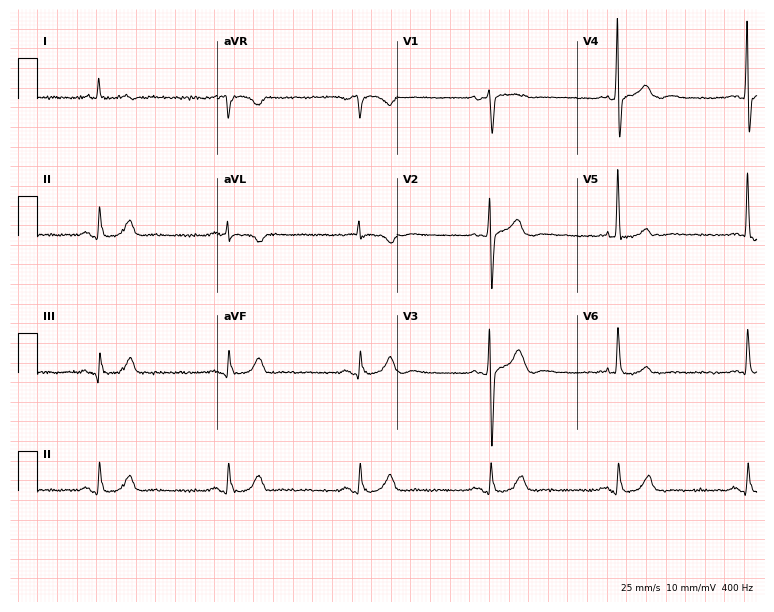
12-lead ECG from a male, 72 years old. Findings include sinus bradycardia (a sinus rate of 50 beats per minute or less).